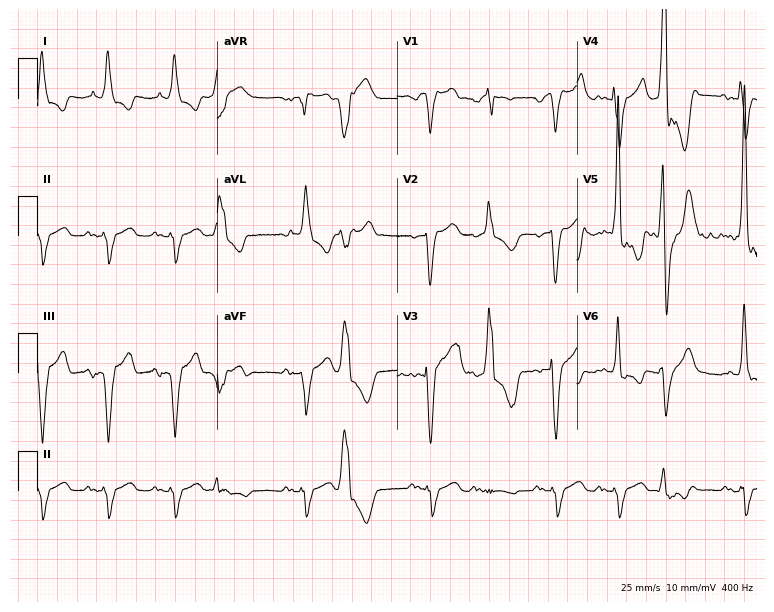
12-lead ECG from an 85-year-old man. No first-degree AV block, right bundle branch block (RBBB), left bundle branch block (LBBB), sinus bradycardia, atrial fibrillation (AF) or sinus tachycardia recorded for this tracing.